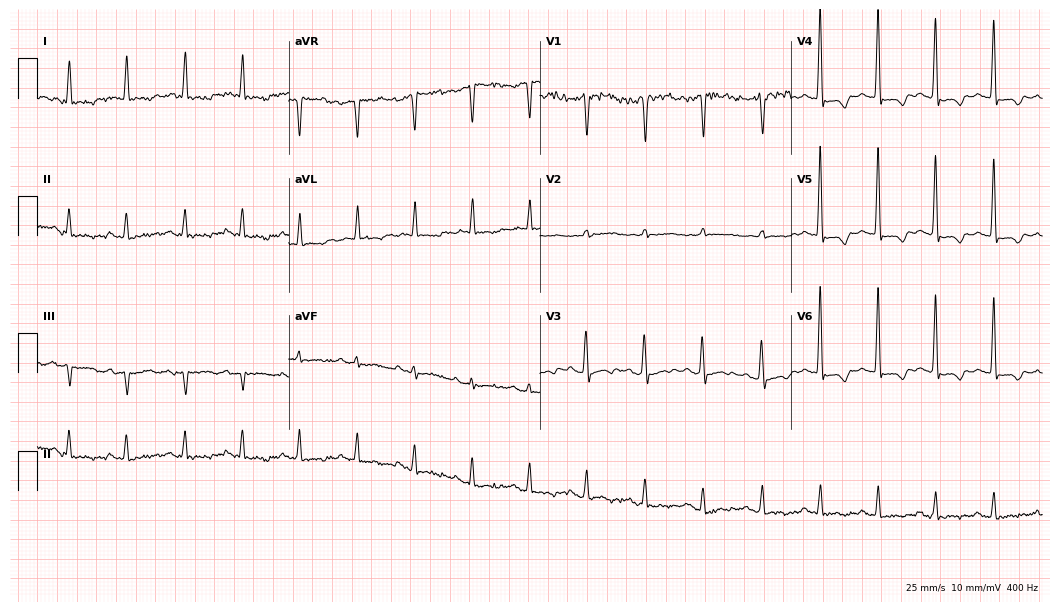
12-lead ECG from an 81-year-old woman. Findings include sinus tachycardia (a sinus rate of 100 beats per minute or more).